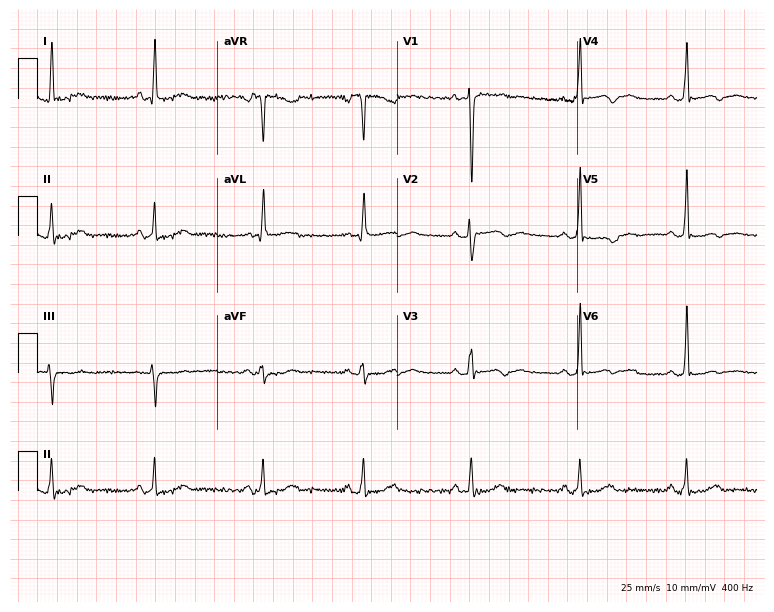
Standard 12-lead ECG recorded from a female, 45 years old. None of these six findings is recorded: first-degree AV block, right bundle branch block, left bundle branch block, sinus bradycardia, atrial fibrillation, sinus tachycardia.